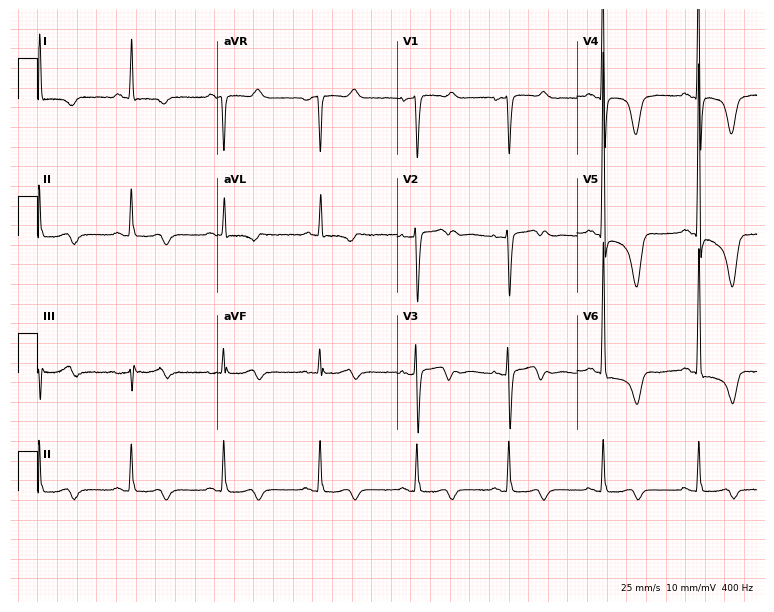
Electrocardiogram (7.3-second recording at 400 Hz), a female, 64 years old. Of the six screened findings (first-degree AV block, right bundle branch block (RBBB), left bundle branch block (LBBB), sinus bradycardia, atrial fibrillation (AF), sinus tachycardia), none is recorded.